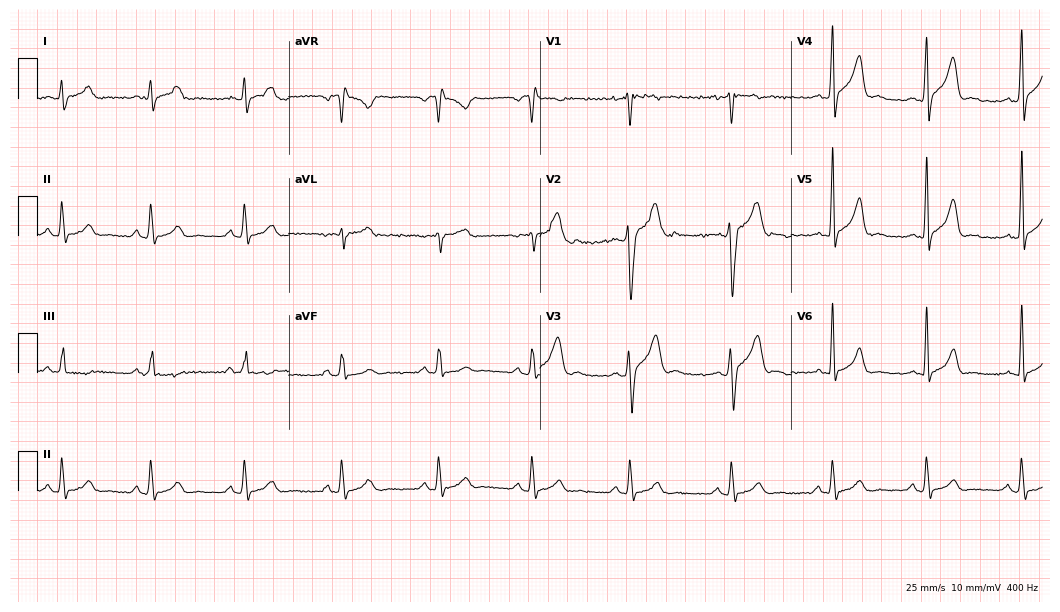
Standard 12-lead ECG recorded from a 30-year-old man (10.2-second recording at 400 Hz). None of these six findings is recorded: first-degree AV block, right bundle branch block, left bundle branch block, sinus bradycardia, atrial fibrillation, sinus tachycardia. Findings outside these six are not listed.